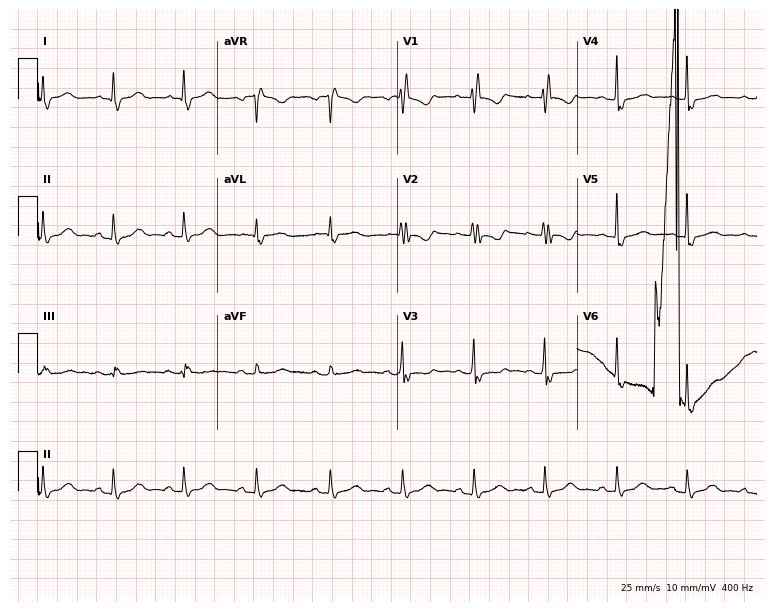
Standard 12-lead ECG recorded from a 48-year-old female (7.3-second recording at 400 Hz). None of these six findings is recorded: first-degree AV block, right bundle branch block (RBBB), left bundle branch block (LBBB), sinus bradycardia, atrial fibrillation (AF), sinus tachycardia. Findings outside these six are not listed.